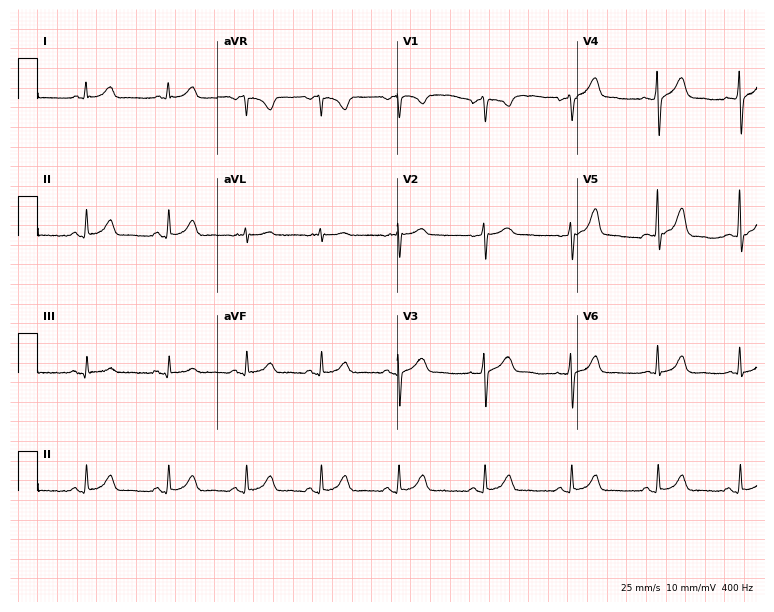
Electrocardiogram, a 36-year-old woman. Of the six screened findings (first-degree AV block, right bundle branch block (RBBB), left bundle branch block (LBBB), sinus bradycardia, atrial fibrillation (AF), sinus tachycardia), none is recorded.